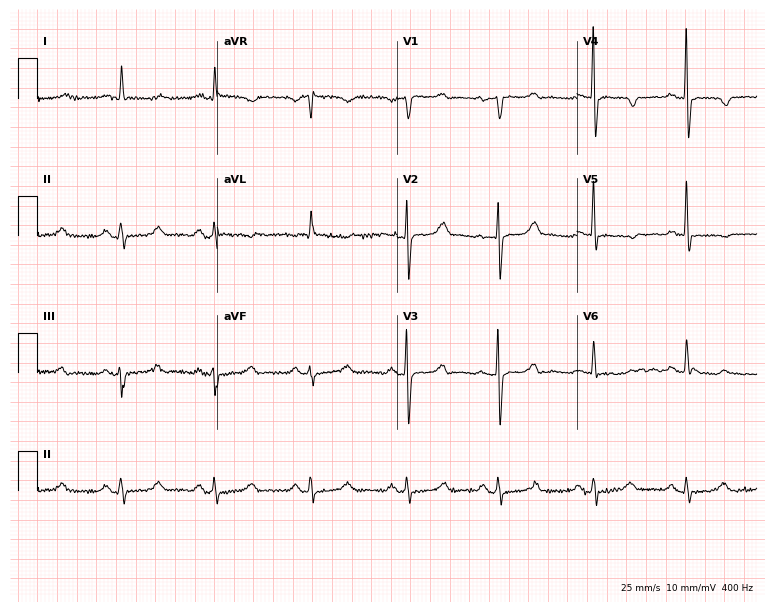
ECG — a female, 79 years old. Labelled as a normal ECG.